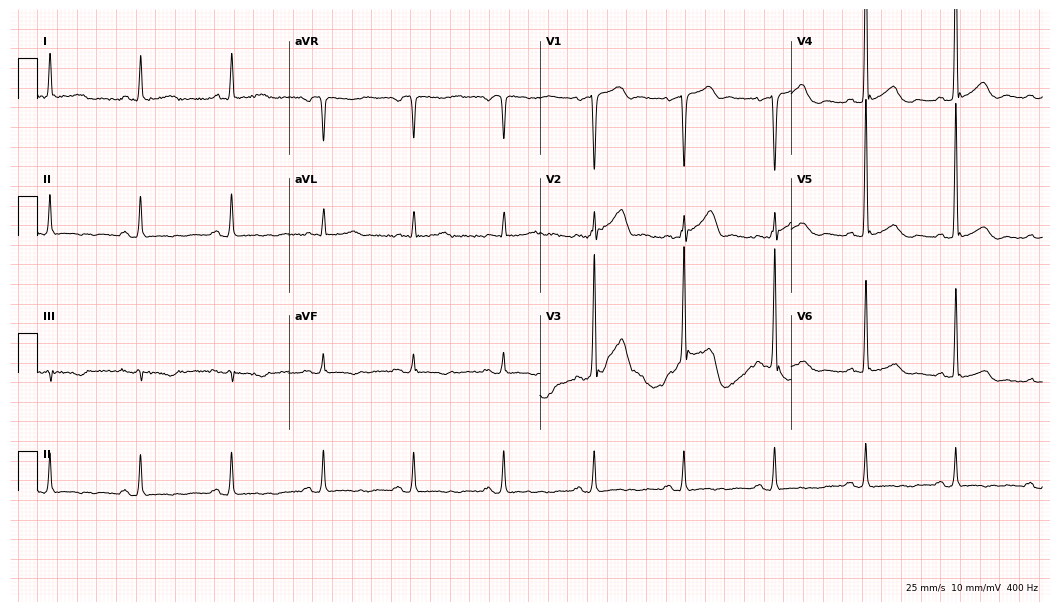
Resting 12-lead electrocardiogram. Patient: a 65-year-old male. None of these six findings is recorded: first-degree AV block, right bundle branch block (RBBB), left bundle branch block (LBBB), sinus bradycardia, atrial fibrillation (AF), sinus tachycardia.